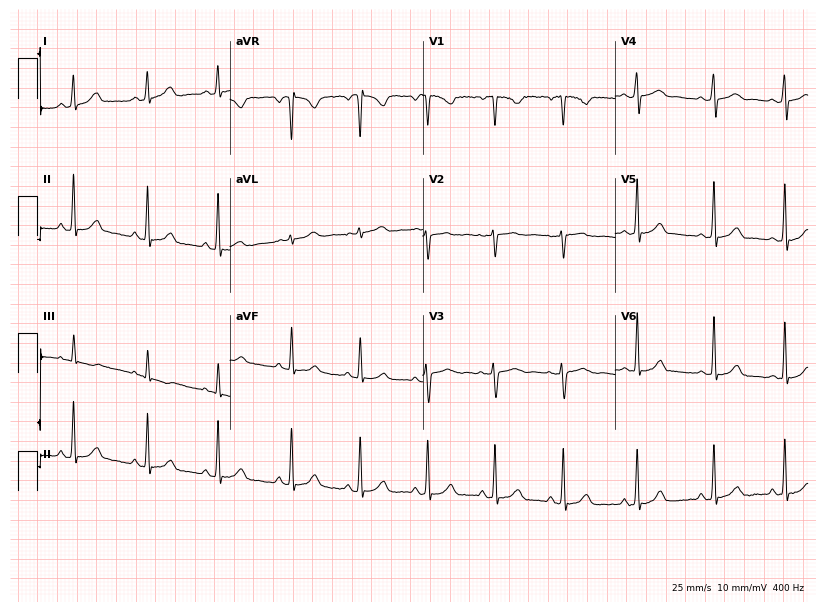
ECG (7.9-second recording at 400 Hz) — a 20-year-old female. Labelled as a normal ECG.